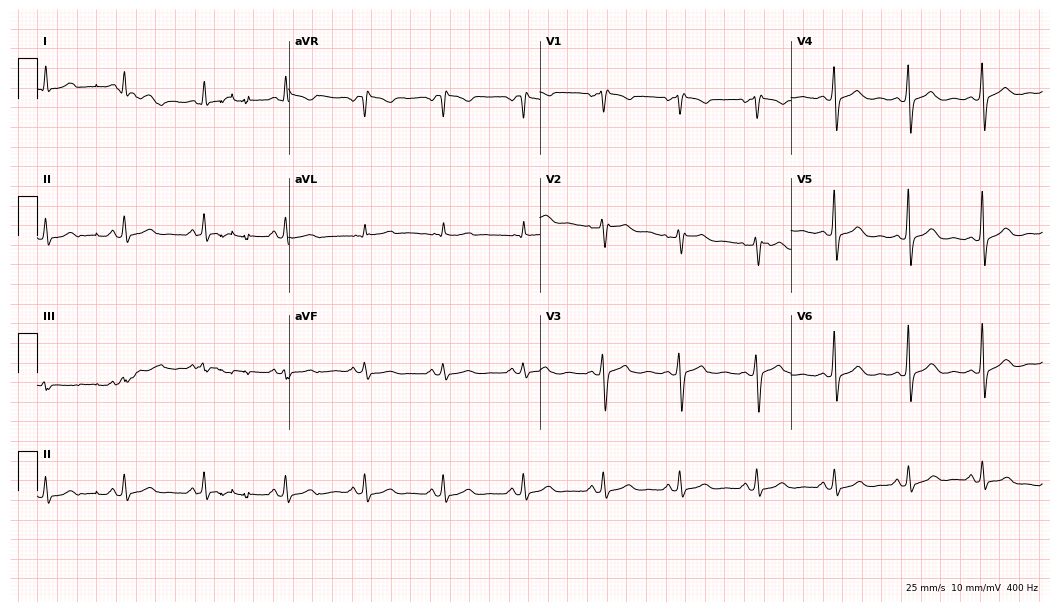
ECG — a female, 51 years old. Screened for six findings — first-degree AV block, right bundle branch block, left bundle branch block, sinus bradycardia, atrial fibrillation, sinus tachycardia — none is recorded. Findings outside these six are not listed.